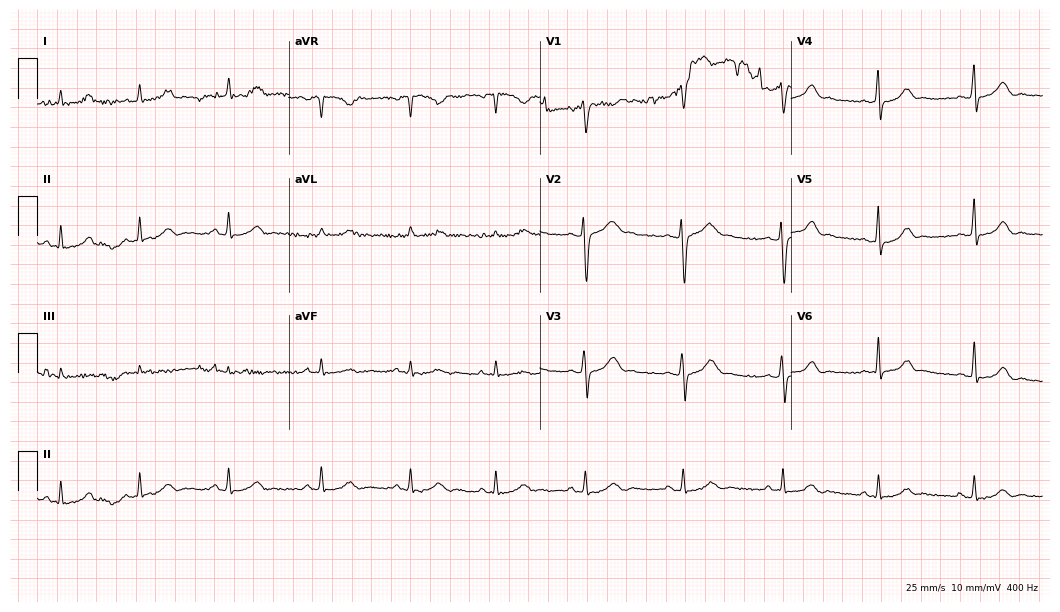
12-lead ECG from a 34-year-old female patient. No first-degree AV block, right bundle branch block, left bundle branch block, sinus bradycardia, atrial fibrillation or sinus tachycardia recorded for this tracing.